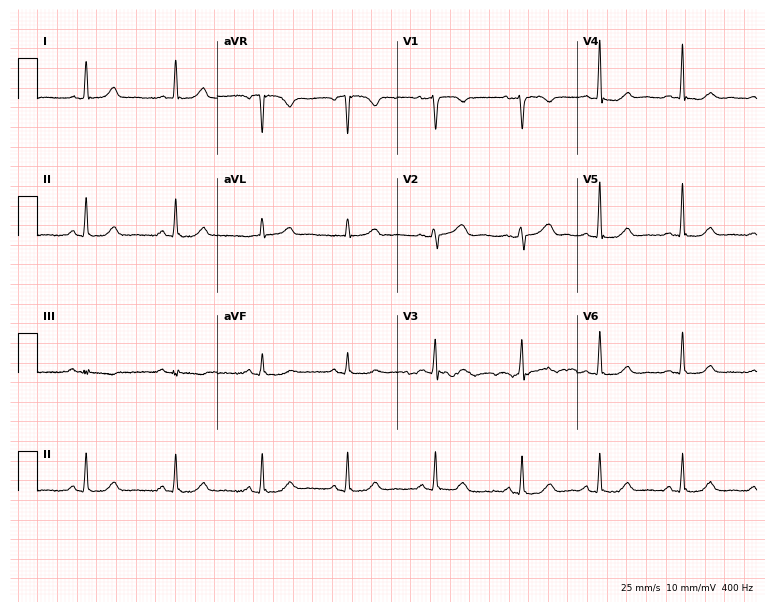
Standard 12-lead ECG recorded from a female patient, 57 years old (7.3-second recording at 400 Hz). Read as a normal ECG.